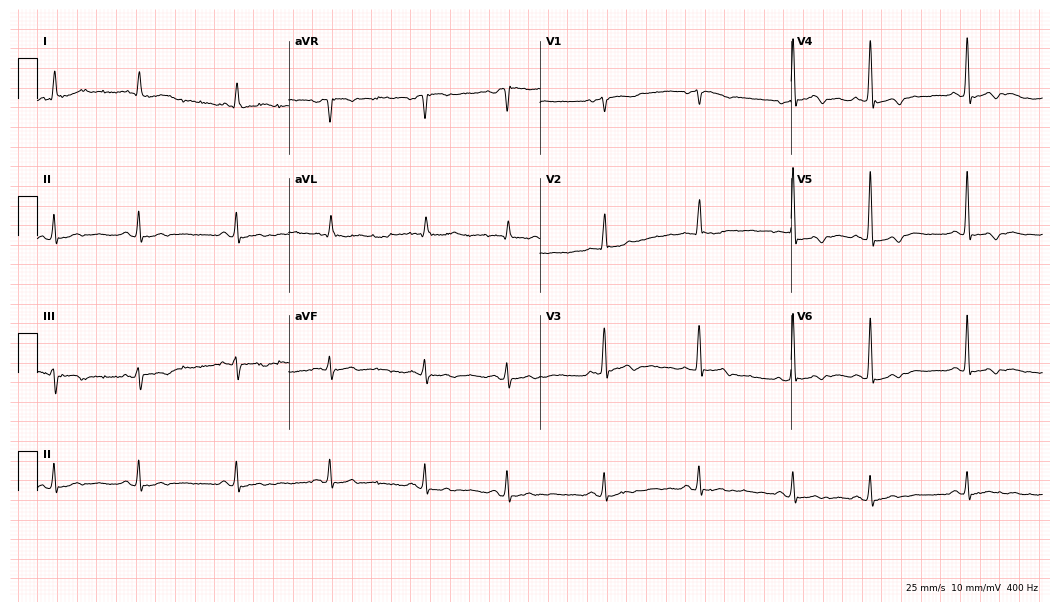
ECG (10.2-second recording at 400 Hz) — an 80-year-old male patient. Screened for six findings — first-degree AV block, right bundle branch block (RBBB), left bundle branch block (LBBB), sinus bradycardia, atrial fibrillation (AF), sinus tachycardia — none is recorded.